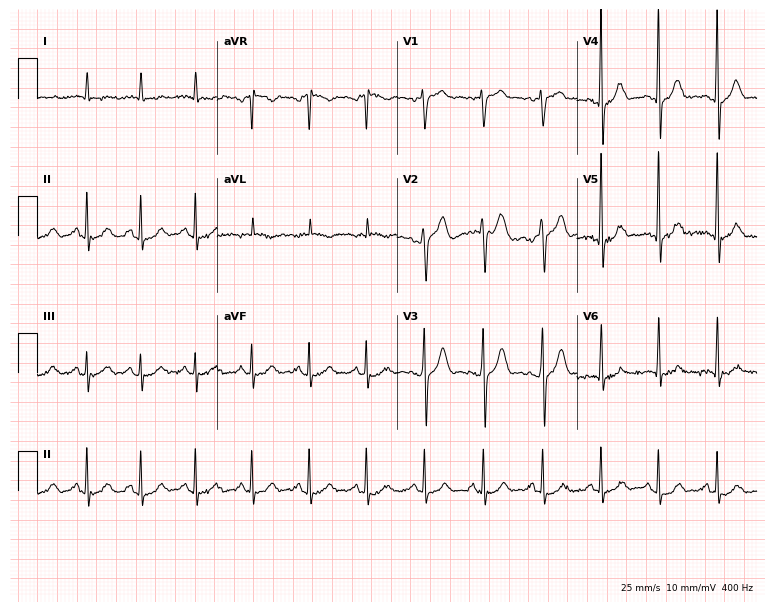
Electrocardiogram, a 61-year-old male patient. Interpretation includes sinus tachycardia (a sinus rate of 100 beats per minute or more).